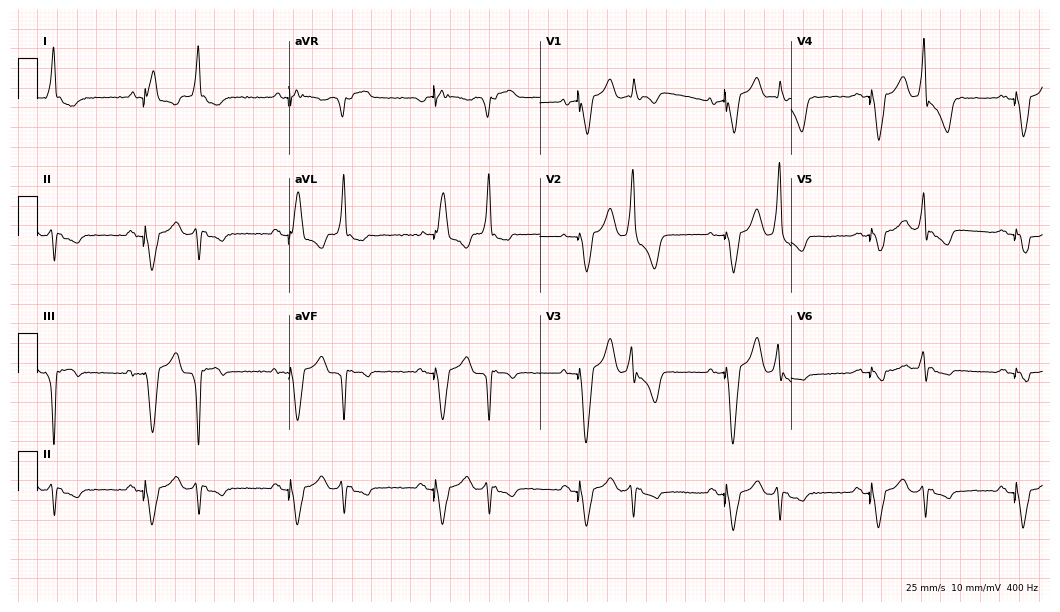
Electrocardiogram, an 80-year-old man. Of the six screened findings (first-degree AV block, right bundle branch block (RBBB), left bundle branch block (LBBB), sinus bradycardia, atrial fibrillation (AF), sinus tachycardia), none is recorded. Findings outside these six are not listed.